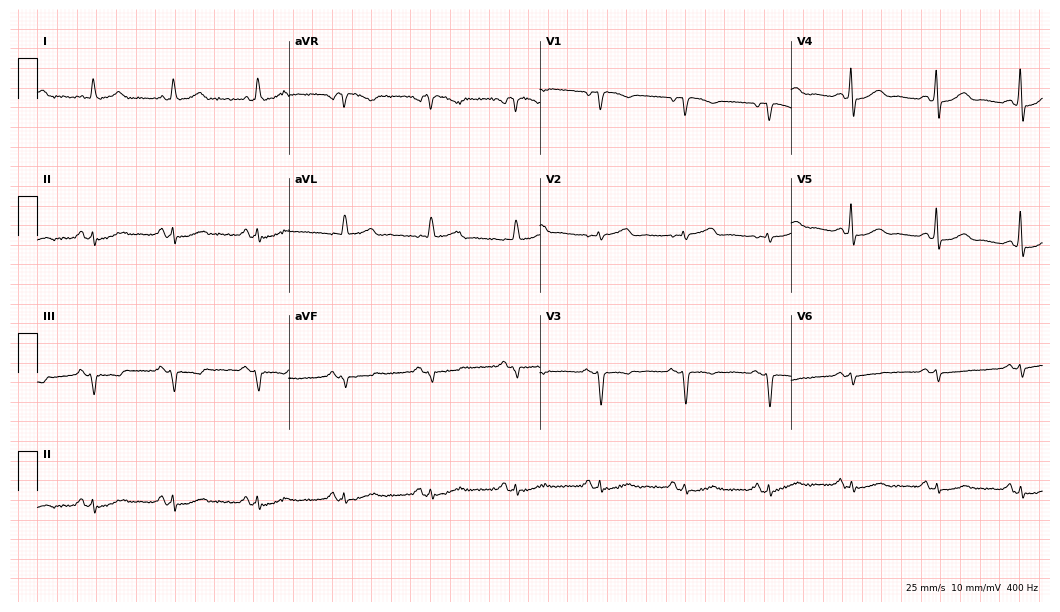
12-lead ECG (10.2-second recording at 400 Hz) from a 56-year-old woman. Screened for six findings — first-degree AV block, right bundle branch block, left bundle branch block, sinus bradycardia, atrial fibrillation, sinus tachycardia — none is recorded. Only these six findings were labelled.